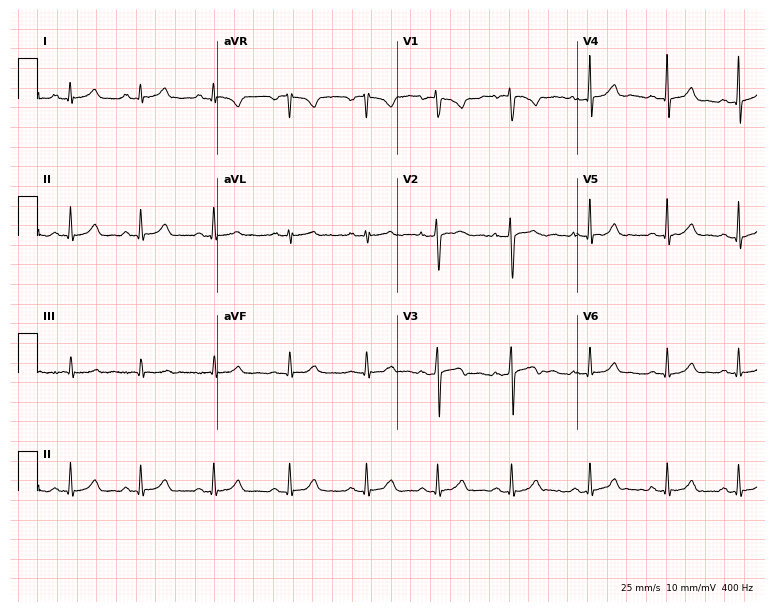
Resting 12-lead electrocardiogram (7.3-second recording at 400 Hz). Patient: a 20-year-old female. Read as a normal ECG.